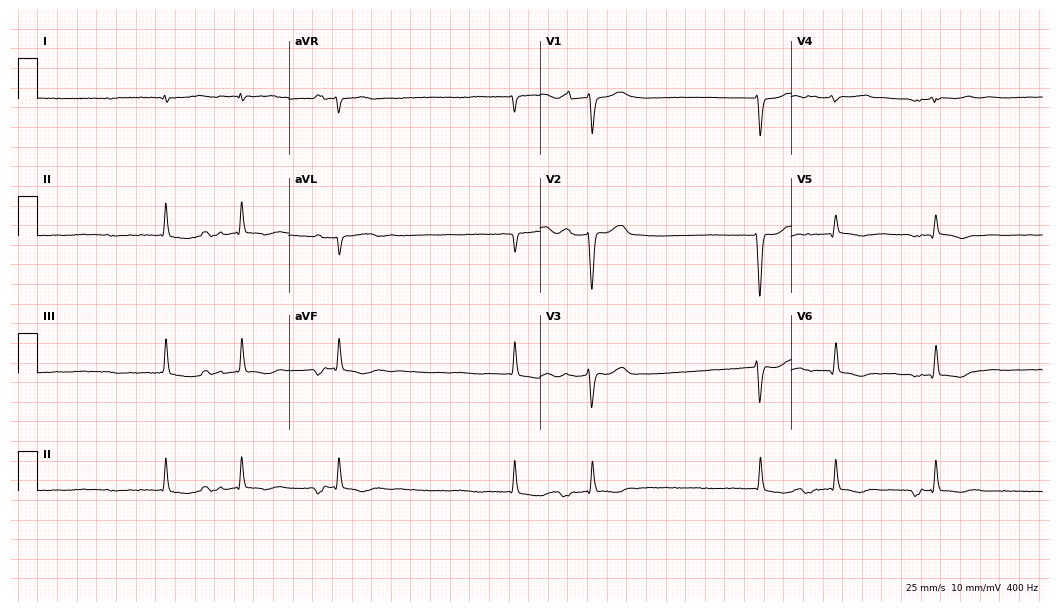
Resting 12-lead electrocardiogram (10.2-second recording at 400 Hz). Patient: a female, 68 years old. None of these six findings is recorded: first-degree AV block, right bundle branch block, left bundle branch block, sinus bradycardia, atrial fibrillation, sinus tachycardia.